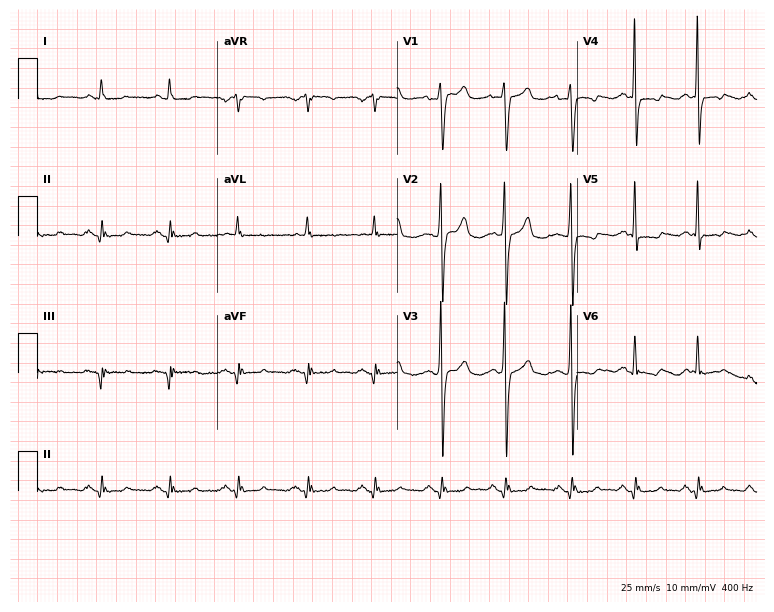
12-lead ECG from a 72-year-old female patient. No first-degree AV block, right bundle branch block (RBBB), left bundle branch block (LBBB), sinus bradycardia, atrial fibrillation (AF) or sinus tachycardia recorded for this tracing.